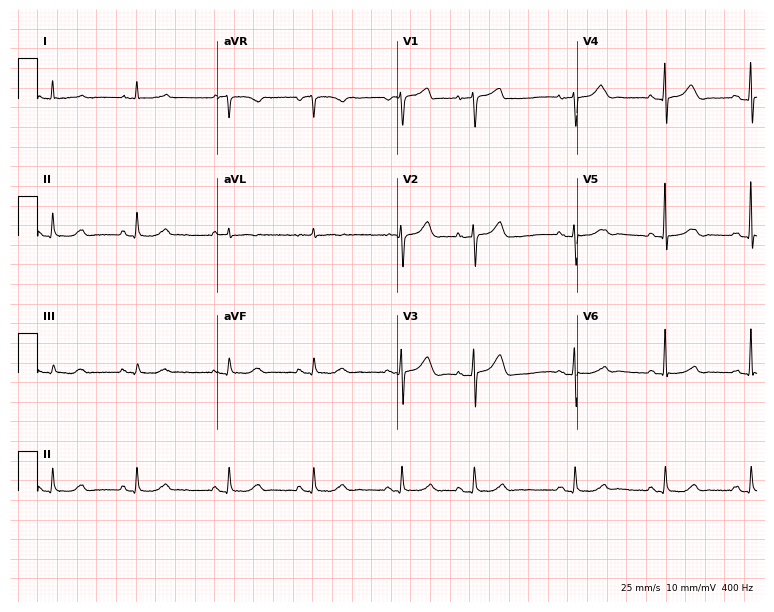
Standard 12-lead ECG recorded from an 80-year-old woman (7.3-second recording at 400 Hz). Read as a normal ECG.